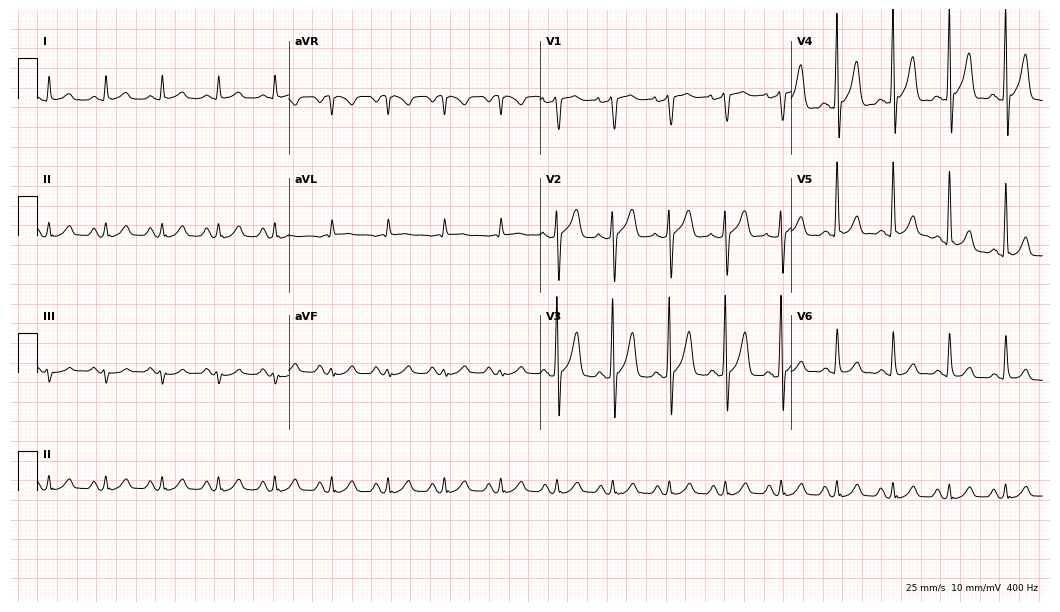
Standard 12-lead ECG recorded from a 74-year-old man (10.2-second recording at 400 Hz). The tracing shows sinus tachycardia (a sinus rate of 100 beats per minute or more).